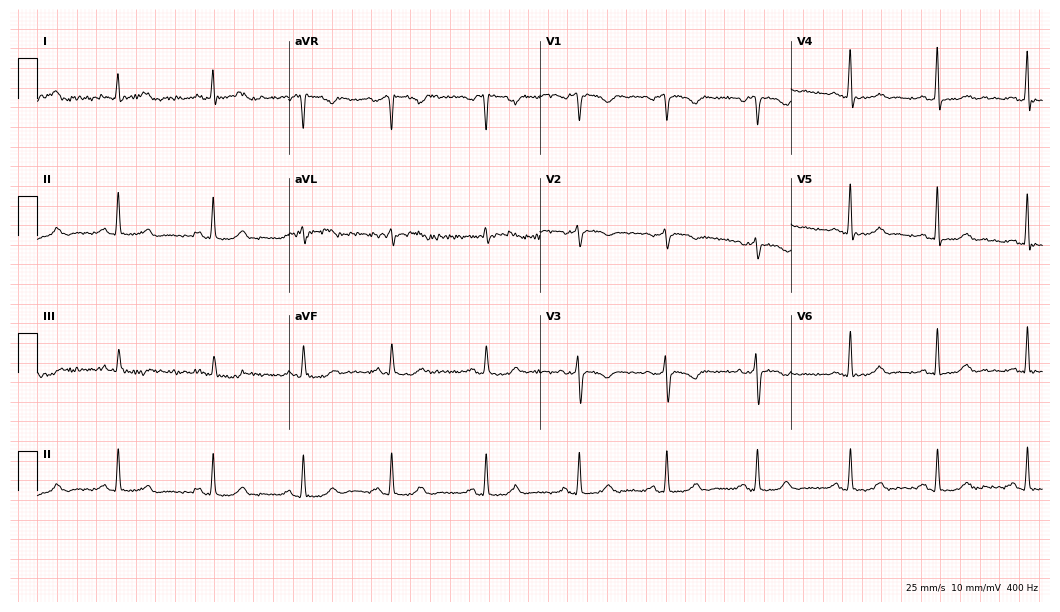
Standard 12-lead ECG recorded from a 38-year-old female. None of these six findings is recorded: first-degree AV block, right bundle branch block, left bundle branch block, sinus bradycardia, atrial fibrillation, sinus tachycardia.